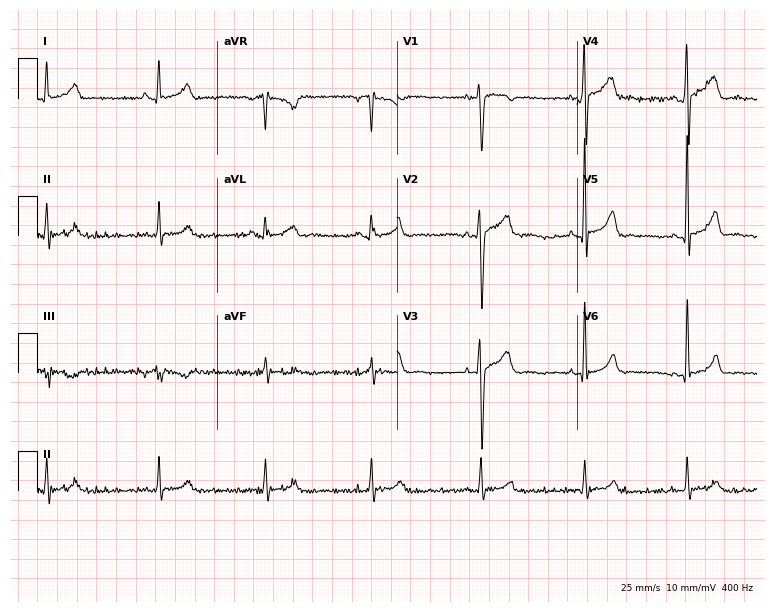
Resting 12-lead electrocardiogram. Patient: a male, 18 years old. None of these six findings is recorded: first-degree AV block, right bundle branch block (RBBB), left bundle branch block (LBBB), sinus bradycardia, atrial fibrillation (AF), sinus tachycardia. Other findings, if any, are not listed.